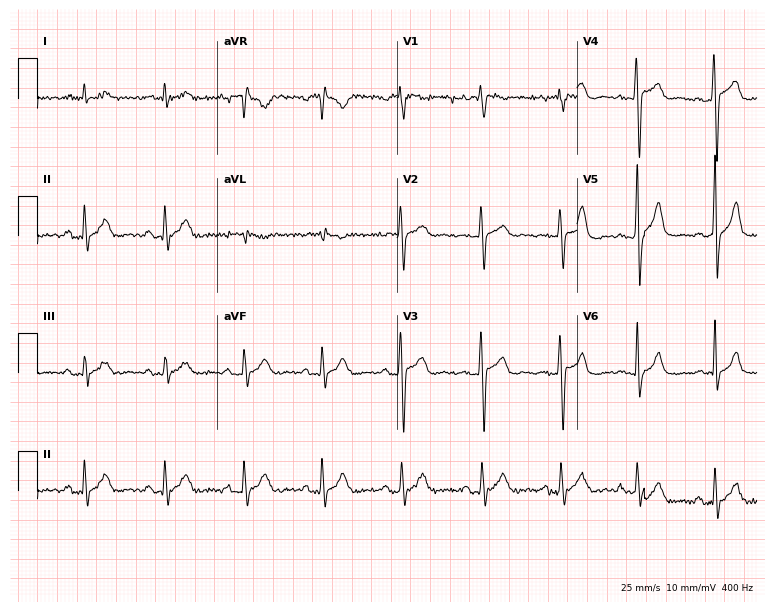
ECG (7.3-second recording at 400 Hz) — a male, 45 years old. Labelled as a normal ECG.